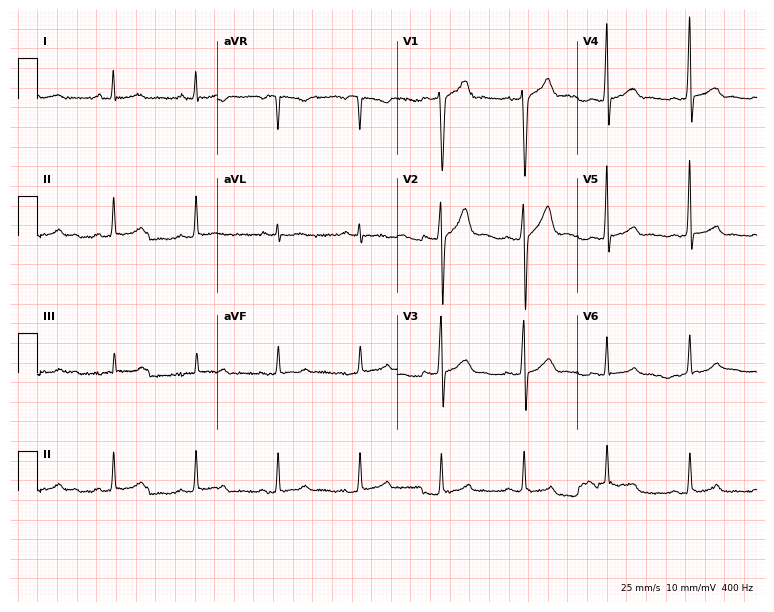
12-lead ECG from a 31-year-old male (7.3-second recording at 400 Hz). No first-degree AV block, right bundle branch block, left bundle branch block, sinus bradycardia, atrial fibrillation or sinus tachycardia recorded for this tracing.